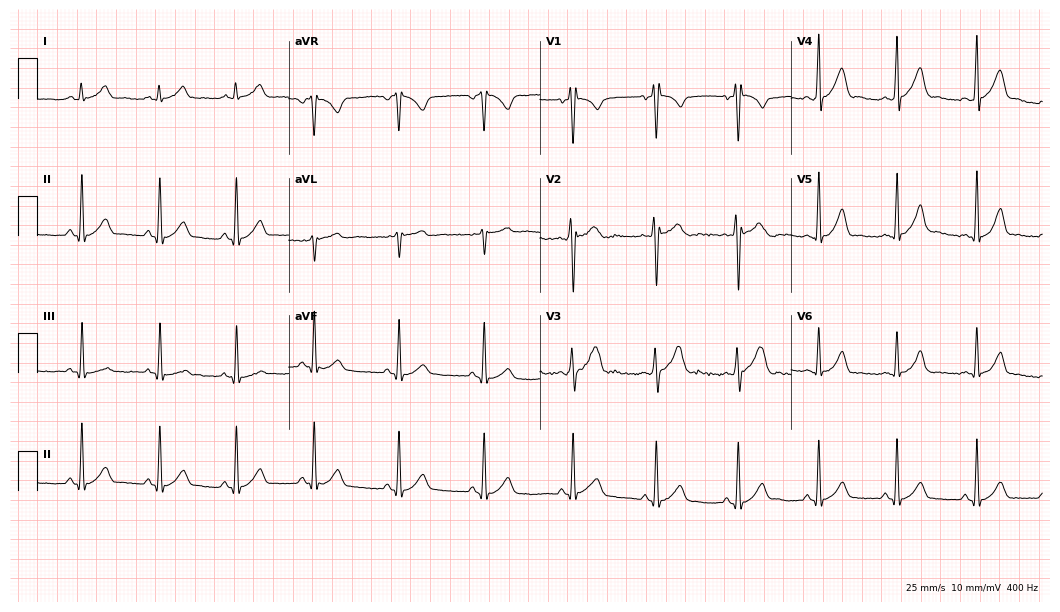
12-lead ECG from a 25-year-old male. Recorded interpretation: within normal limits.